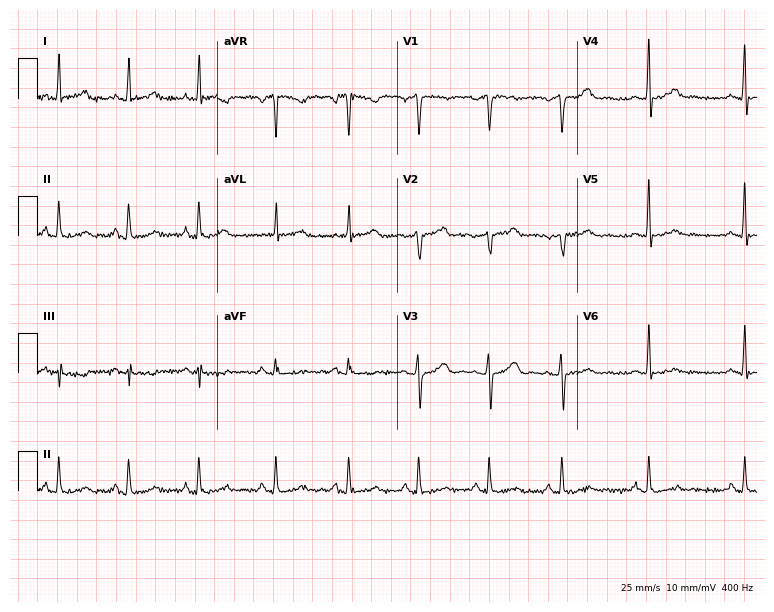
Electrocardiogram (7.3-second recording at 400 Hz), a 43-year-old woman. Overall reading on record: normal ECG.